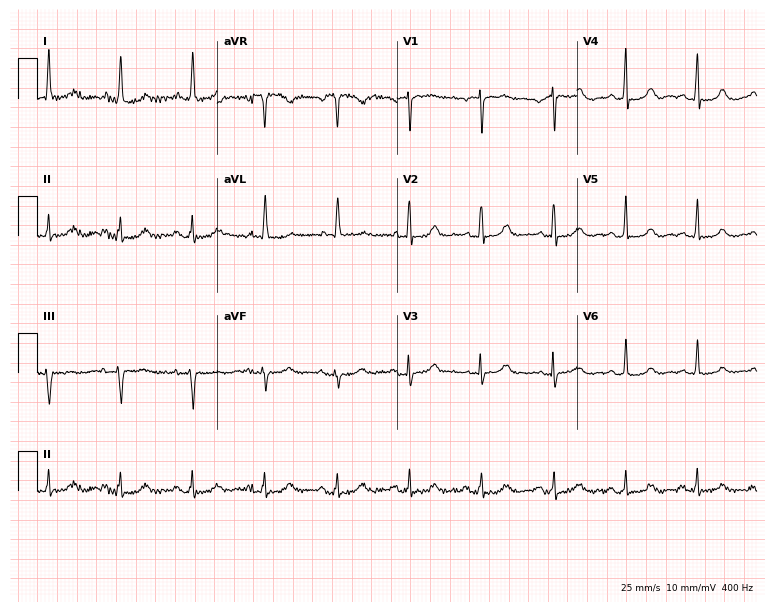
ECG — a 69-year-old woman. Screened for six findings — first-degree AV block, right bundle branch block, left bundle branch block, sinus bradycardia, atrial fibrillation, sinus tachycardia — none is recorded. Only these six findings were labelled.